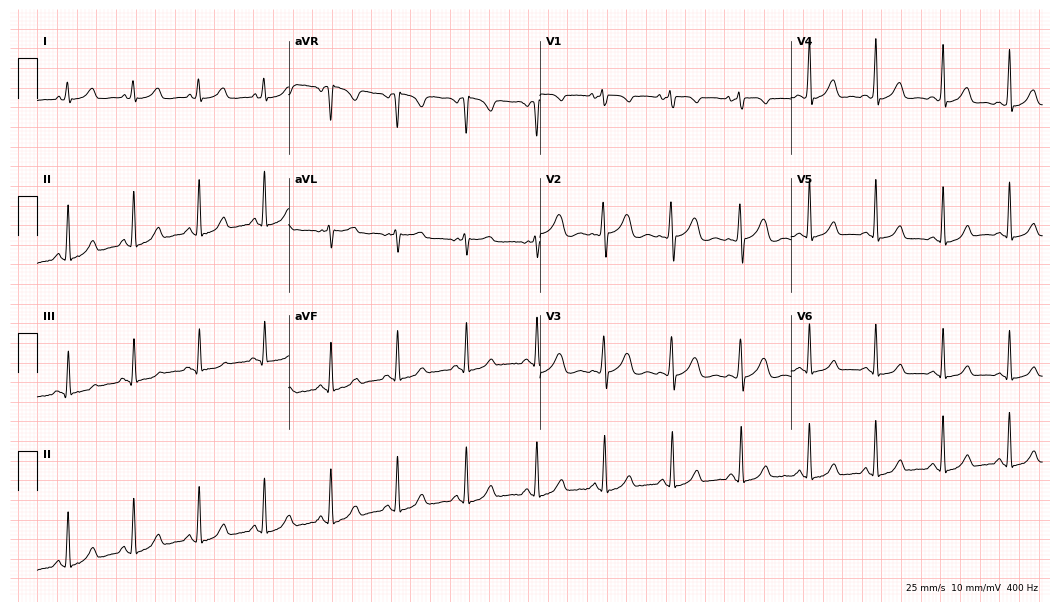
12-lead ECG from a female, 33 years old (10.2-second recording at 400 Hz). Recorded interpretation: within normal limits.